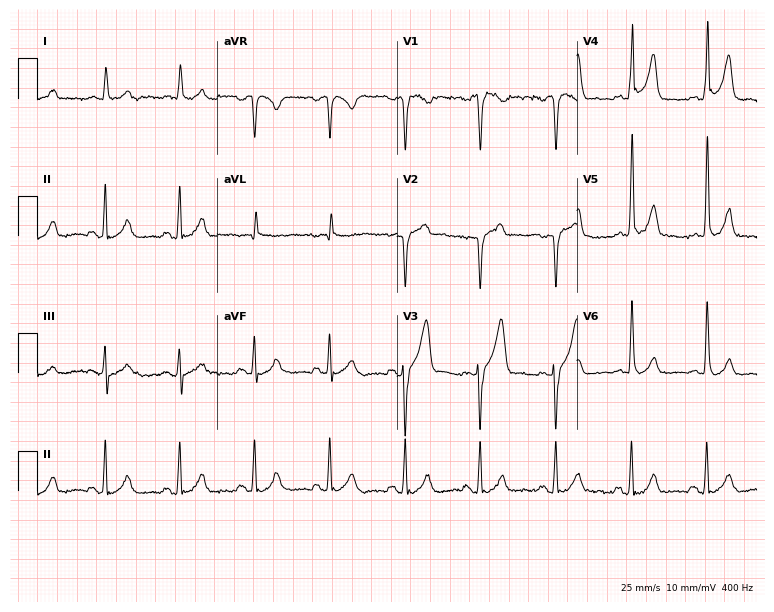
ECG — a male patient, 60 years old. Screened for six findings — first-degree AV block, right bundle branch block (RBBB), left bundle branch block (LBBB), sinus bradycardia, atrial fibrillation (AF), sinus tachycardia — none is recorded.